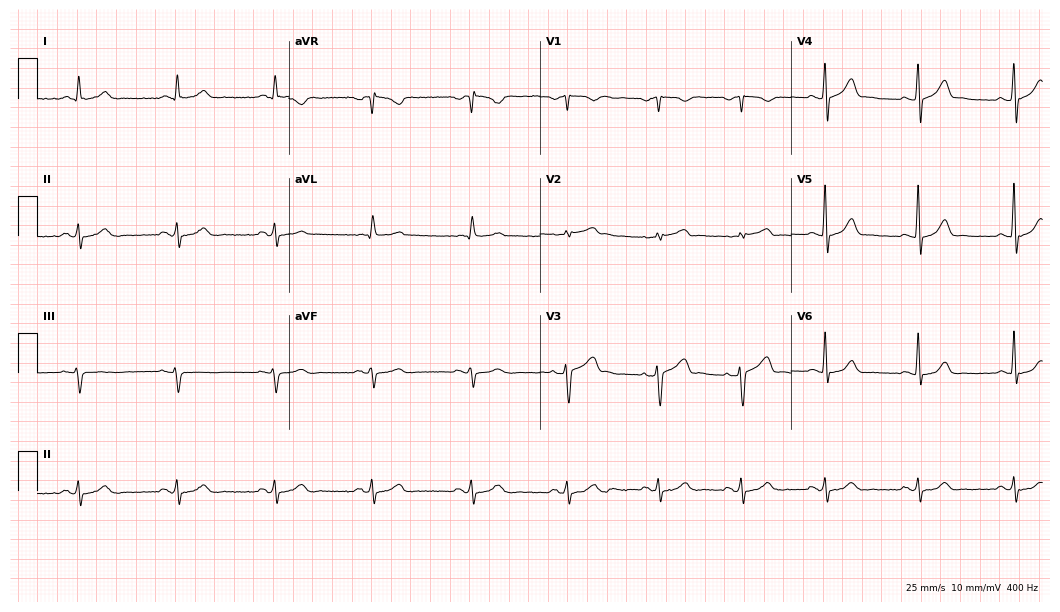
Electrocardiogram (10.2-second recording at 400 Hz), a 64-year-old male patient. Overall reading on record: normal ECG.